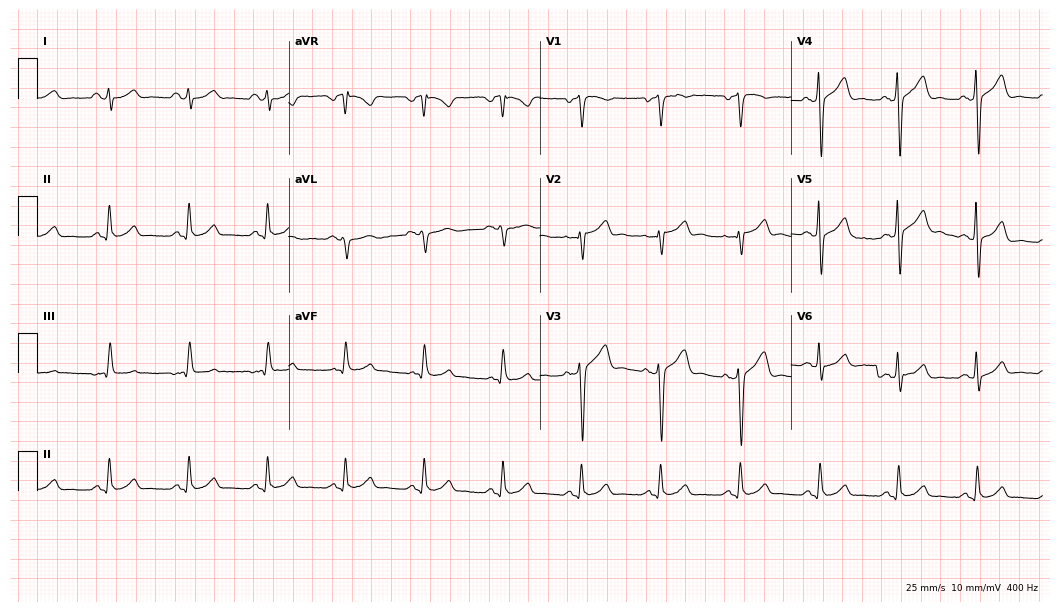
12-lead ECG (10.2-second recording at 400 Hz) from a 55-year-old male. Labelled as a normal ECG.